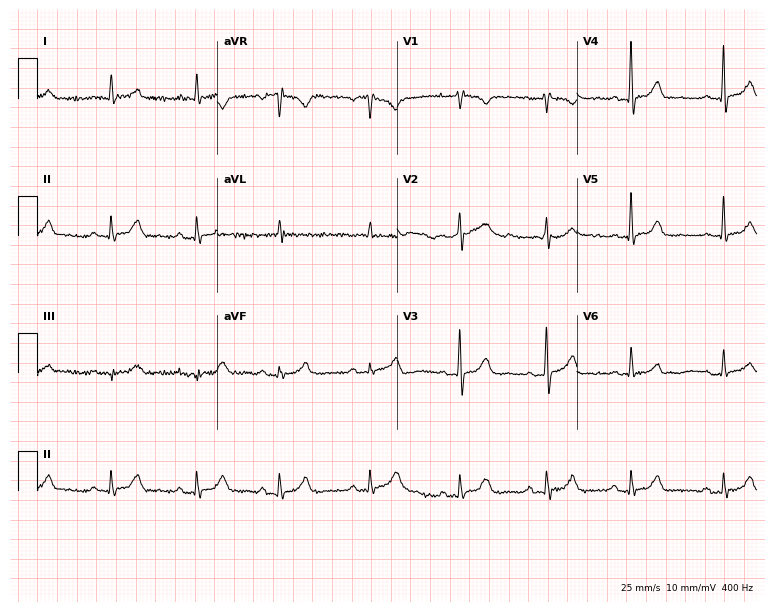
Standard 12-lead ECG recorded from a 65-year-old woman. Read as a normal ECG.